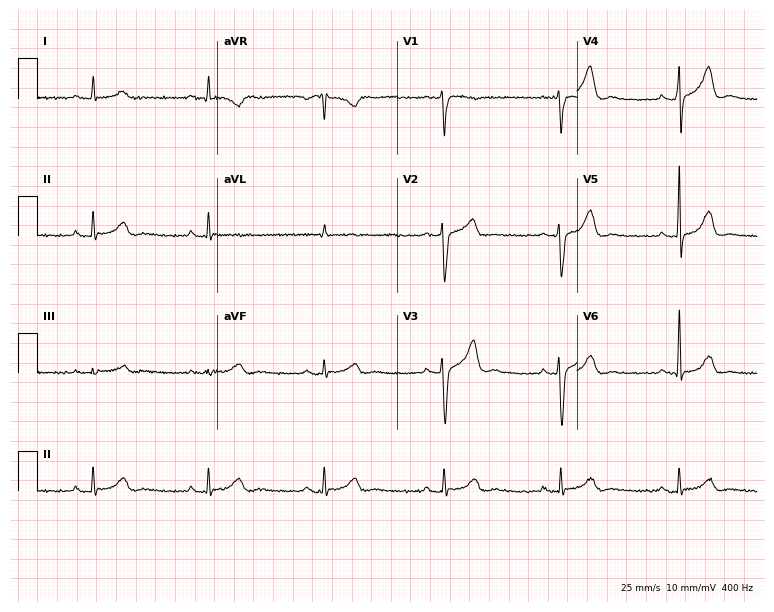
12-lead ECG from a 59-year-old male patient. Recorded interpretation: within normal limits.